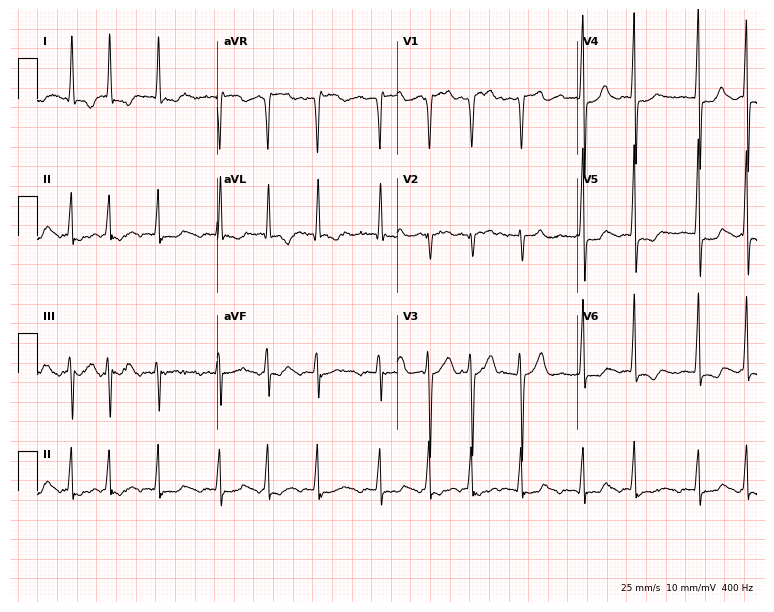
ECG — a 76-year-old female. Findings include atrial fibrillation (AF).